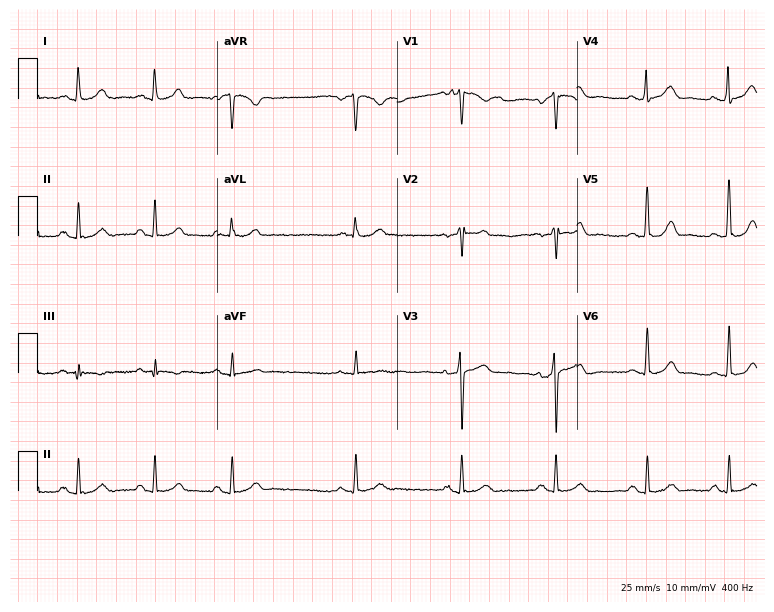
Standard 12-lead ECG recorded from a 72-year-old woman (7.3-second recording at 400 Hz). Read as a normal ECG.